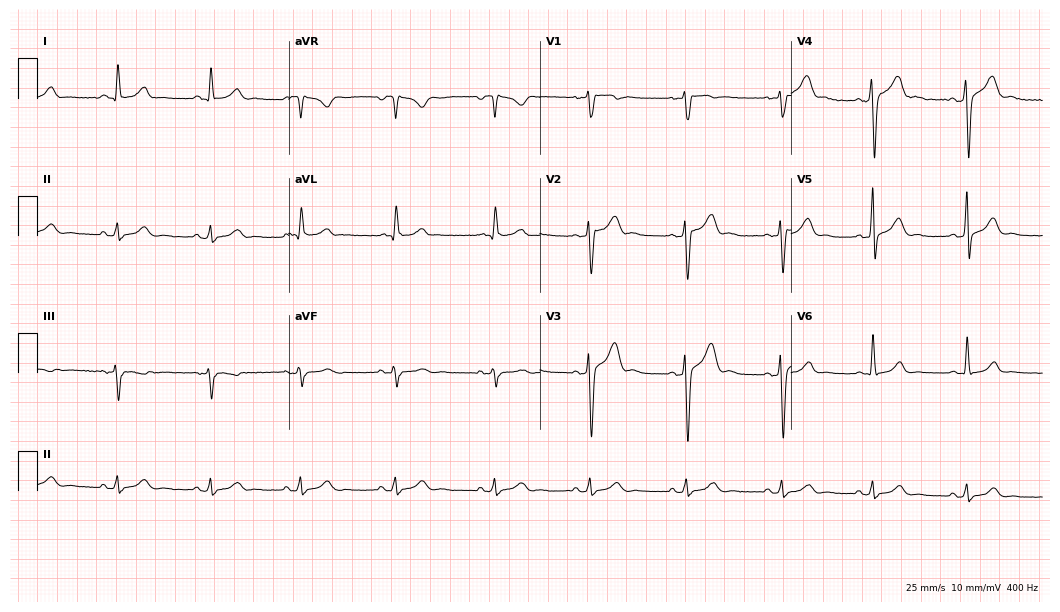
12-lead ECG from a 42-year-old male. Screened for six findings — first-degree AV block, right bundle branch block, left bundle branch block, sinus bradycardia, atrial fibrillation, sinus tachycardia — none is recorded. Findings outside these six are not listed.